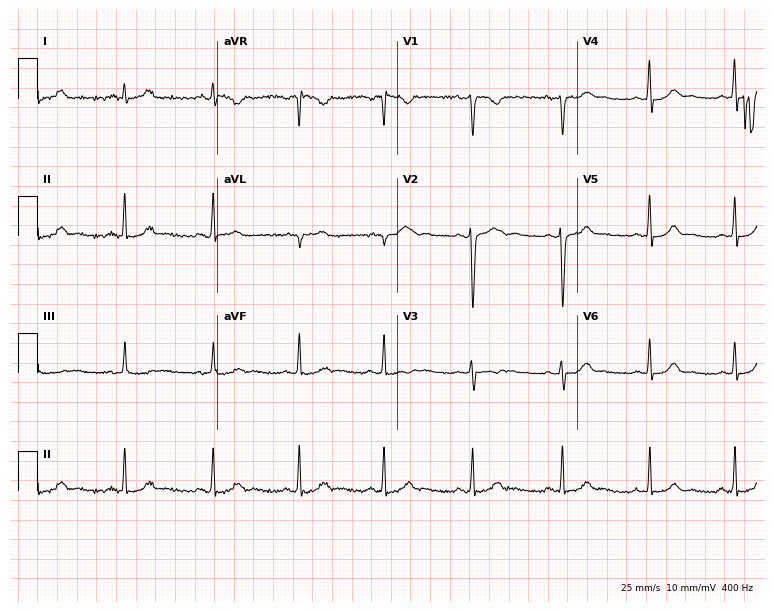
Standard 12-lead ECG recorded from a 22-year-old female patient. Read as a normal ECG.